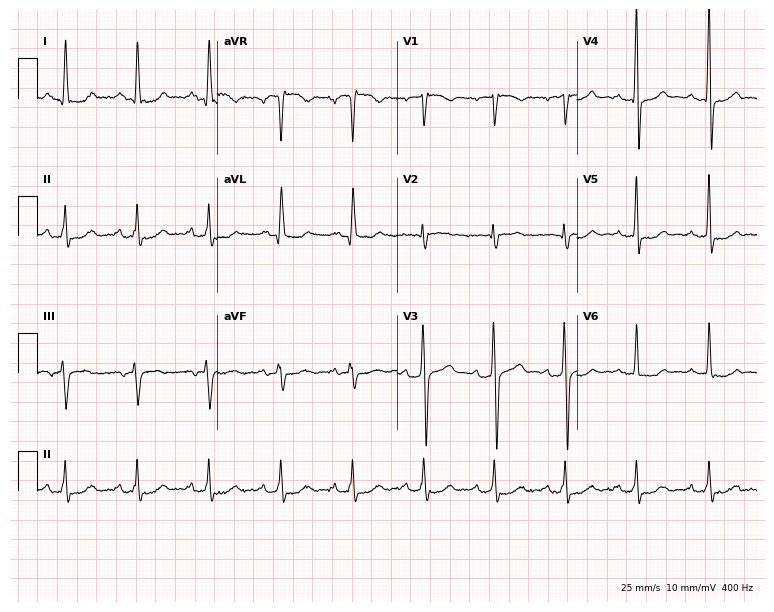
Standard 12-lead ECG recorded from a 47-year-old male. None of these six findings is recorded: first-degree AV block, right bundle branch block (RBBB), left bundle branch block (LBBB), sinus bradycardia, atrial fibrillation (AF), sinus tachycardia. Other findings, if any, are not listed.